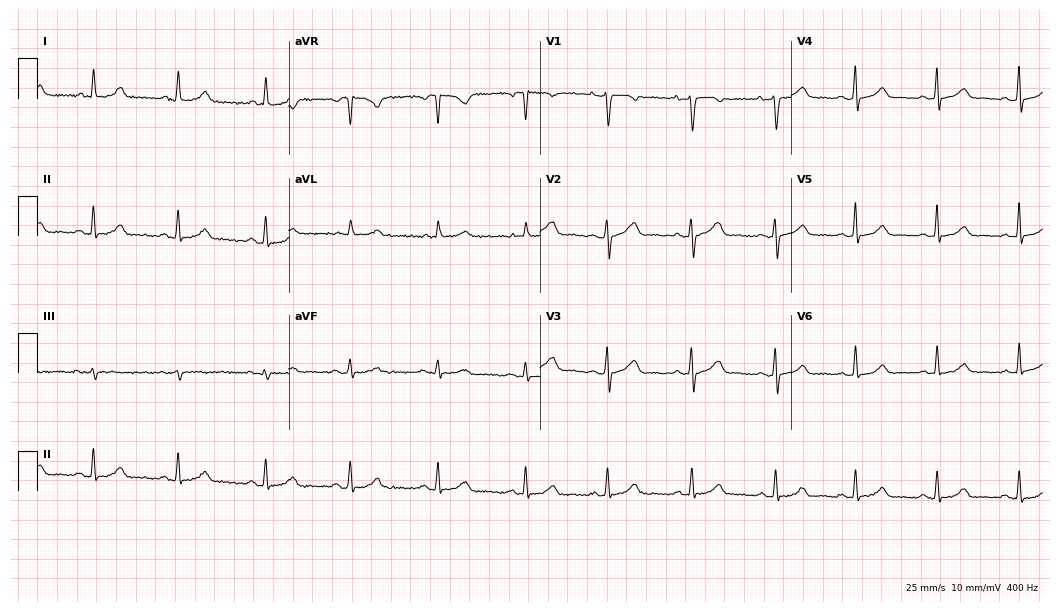
ECG — a 24-year-old woman. Labelled as a normal ECG.